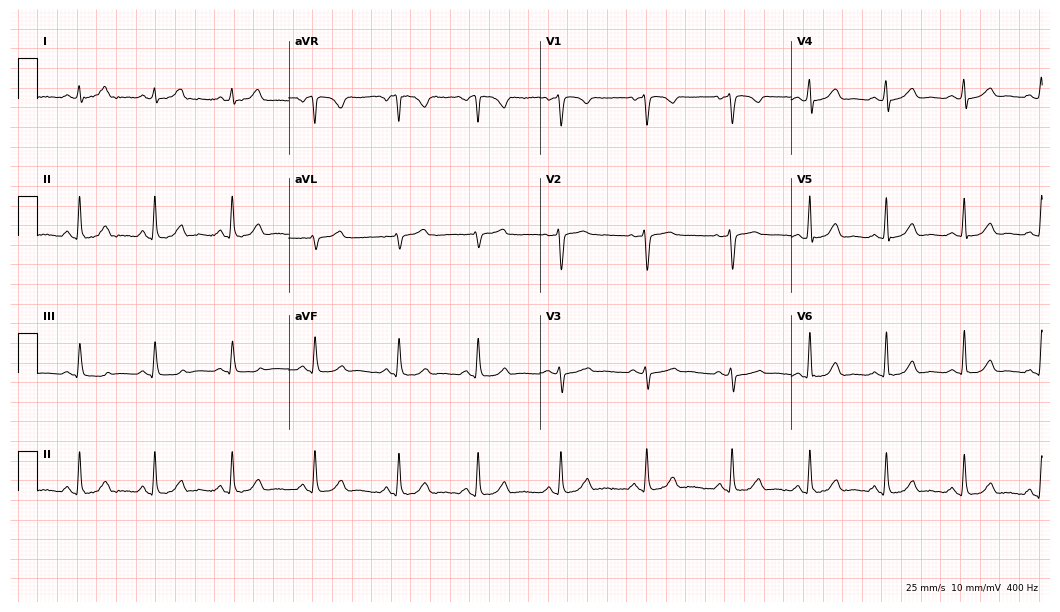
12-lead ECG from a woman, 33 years old. Recorded interpretation: within normal limits.